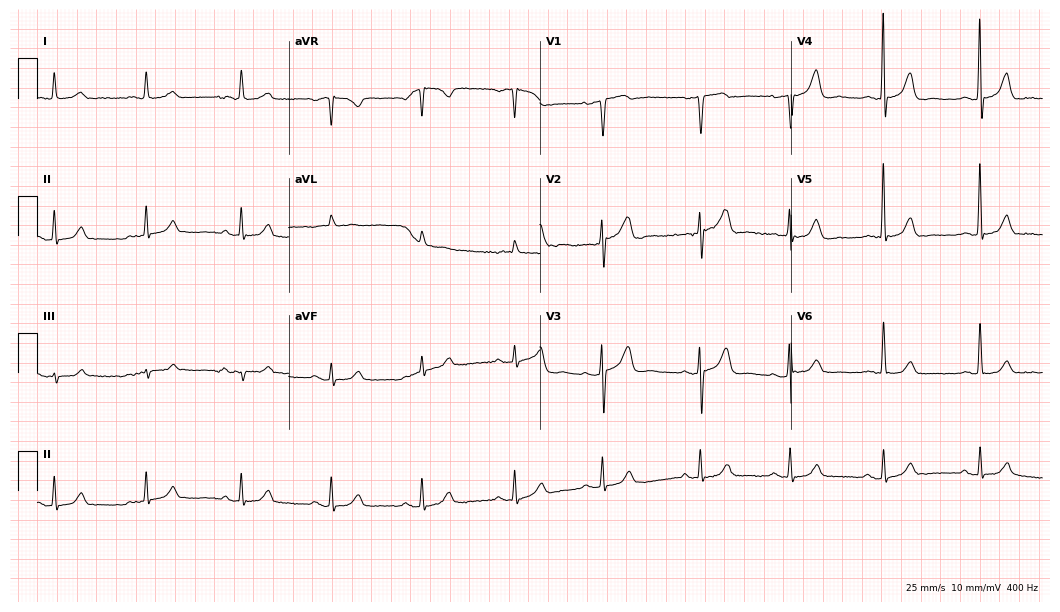
ECG — a female patient, 85 years old. Labelled as a normal ECG.